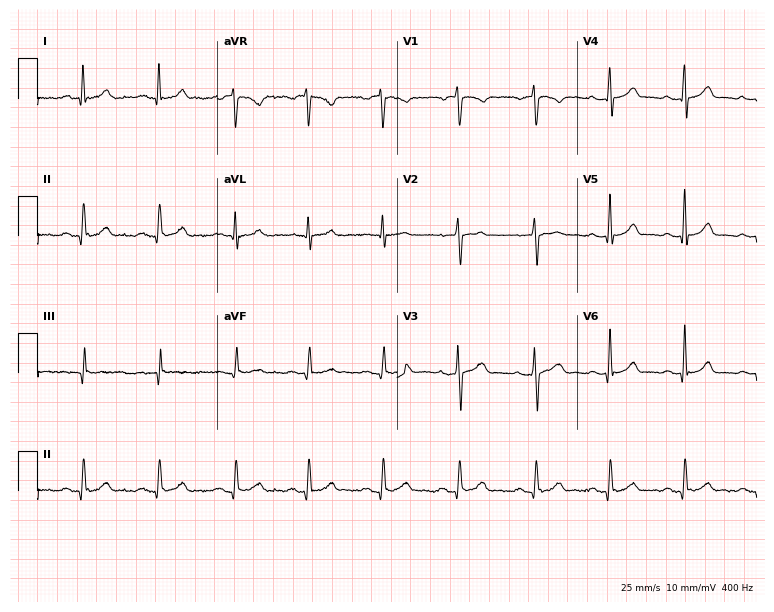
ECG (7.3-second recording at 400 Hz) — a 45-year-old male. Screened for six findings — first-degree AV block, right bundle branch block, left bundle branch block, sinus bradycardia, atrial fibrillation, sinus tachycardia — none is recorded. Findings outside these six are not listed.